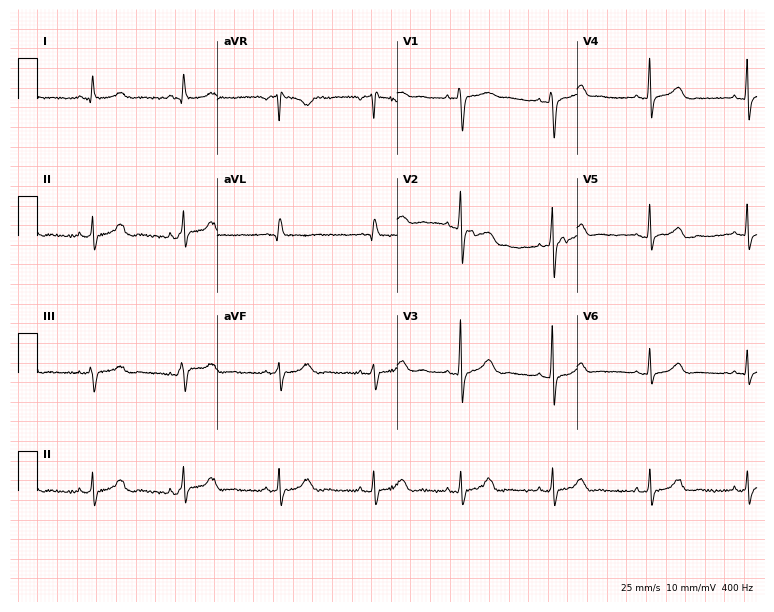
Electrocardiogram (7.3-second recording at 400 Hz), a 40-year-old female patient. Overall reading on record: normal ECG.